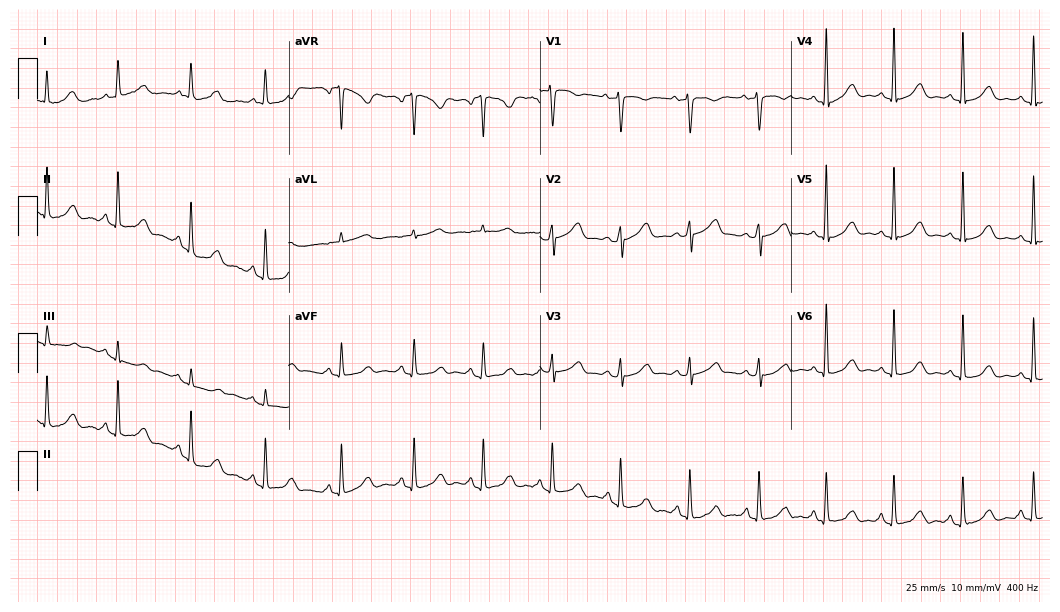
Standard 12-lead ECG recorded from a woman, 65 years old. None of these six findings is recorded: first-degree AV block, right bundle branch block, left bundle branch block, sinus bradycardia, atrial fibrillation, sinus tachycardia. Other findings, if any, are not listed.